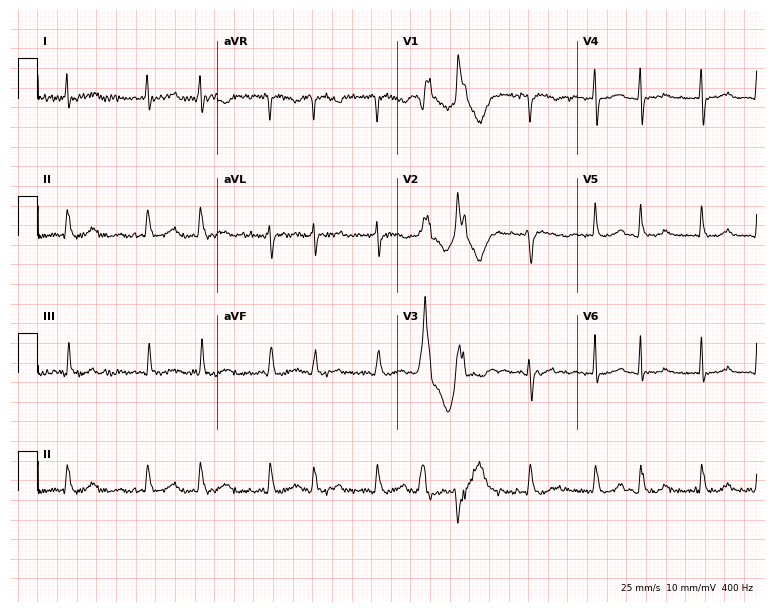
Standard 12-lead ECG recorded from a 76-year-old female patient (7.3-second recording at 400 Hz). The tracing shows atrial fibrillation.